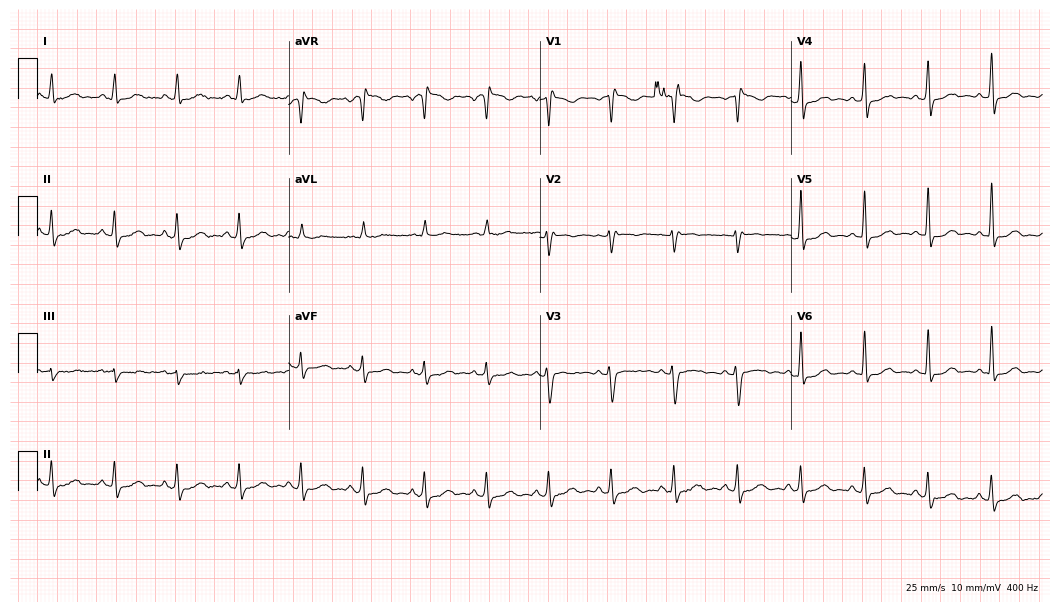
Standard 12-lead ECG recorded from a 47-year-old female (10.2-second recording at 400 Hz). None of these six findings is recorded: first-degree AV block, right bundle branch block (RBBB), left bundle branch block (LBBB), sinus bradycardia, atrial fibrillation (AF), sinus tachycardia. Findings outside these six are not listed.